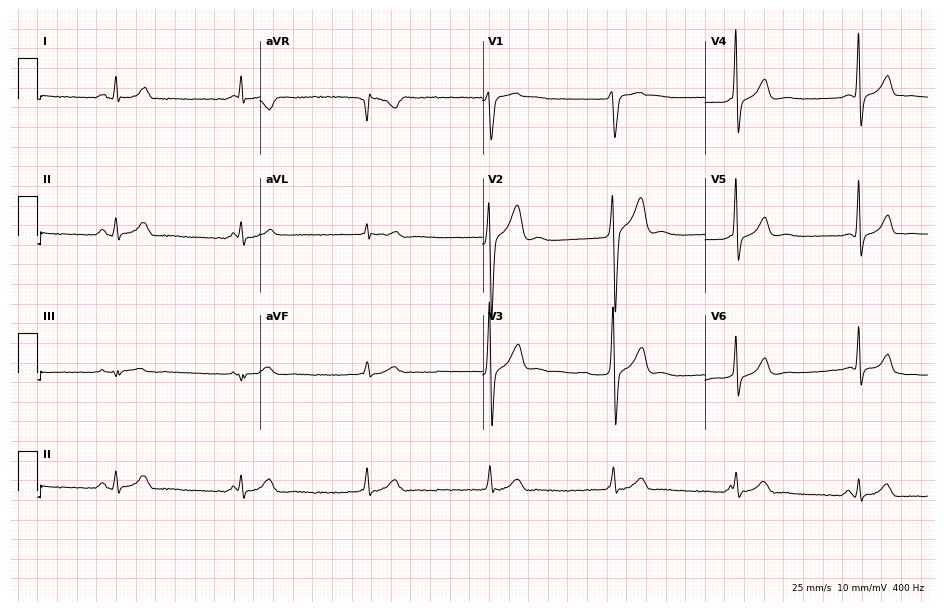
Standard 12-lead ECG recorded from a male patient, 37 years old. None of these six findings is recorded: first-degree AV block, right bundle branch block, left bundle branch block, sinus bradycardia, atrial fibrillation, sinus tachycardia. Only these six findings were labelled.